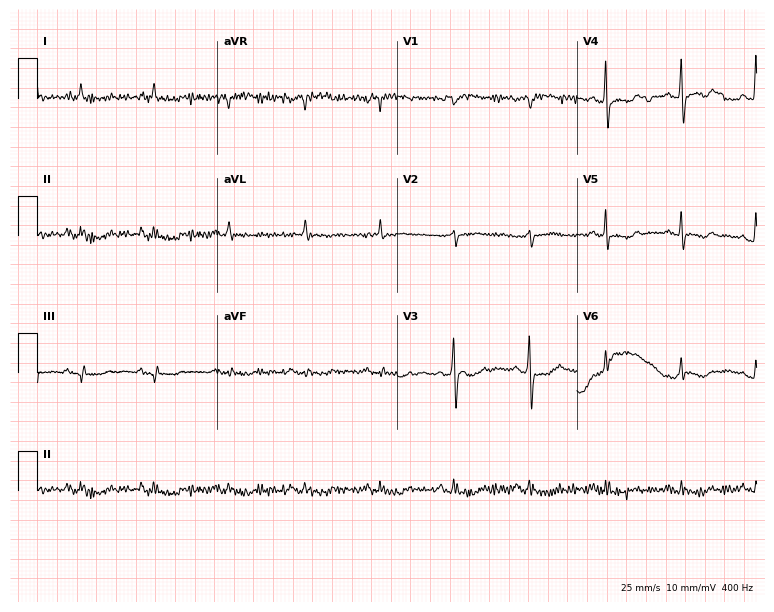
12-lead ECG from an 81-year-old man. No first-degree AV block, right bundle branch block, left bundle branch block, sinus bradycardia, atrial fibrillation or sinus tachycardia recorded for this tracing. Only these six findings were labelled.